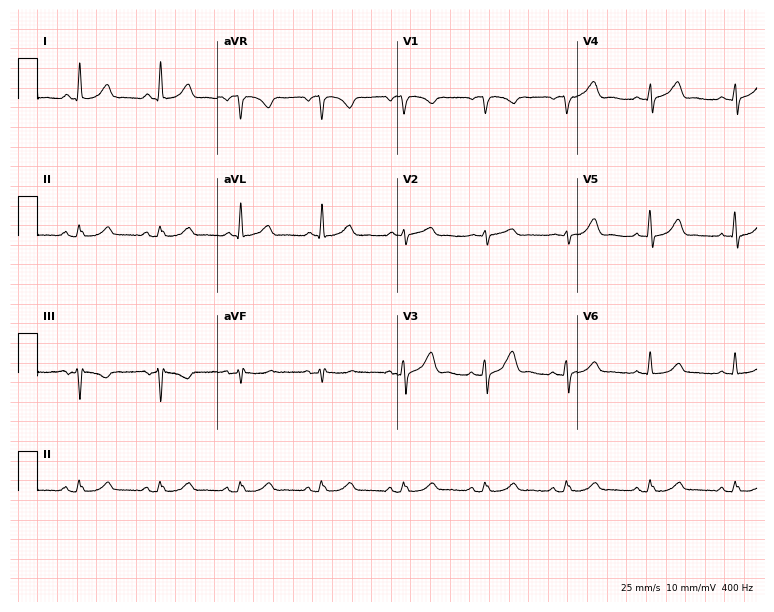
Electrocardiogram, a female patient, 61 years old. Of the six screened findings (first-degree AV block, right bundle branch block, left bundle branch block, sinus bradycardia, atrial fibrillation, sinus tachycardia), none is recorded.